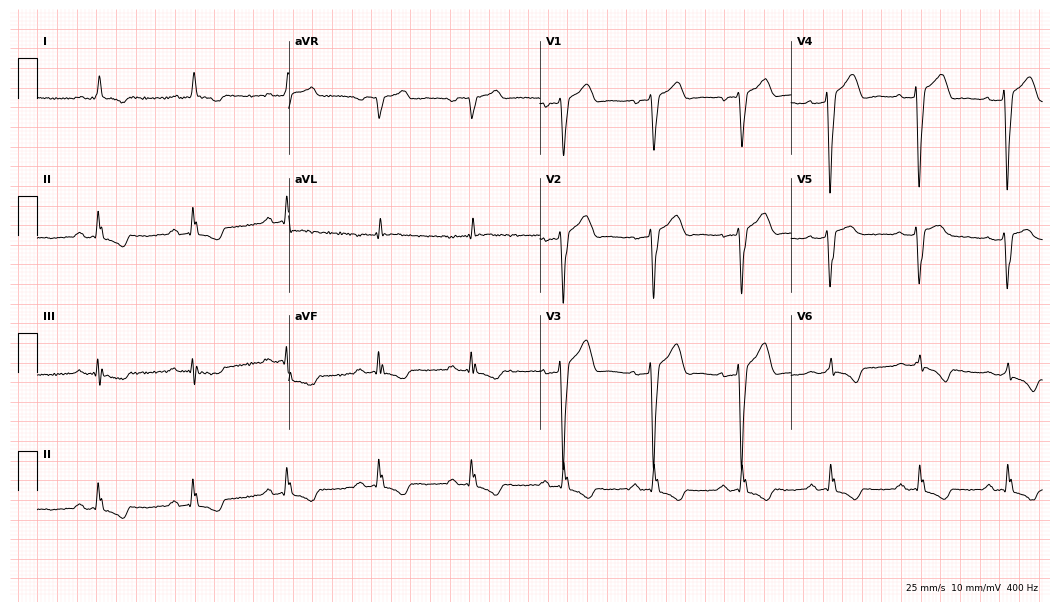
ECG (10.2-second recording at 400 Hz) — a man, 62 years old. Findings include left bundle branch block.